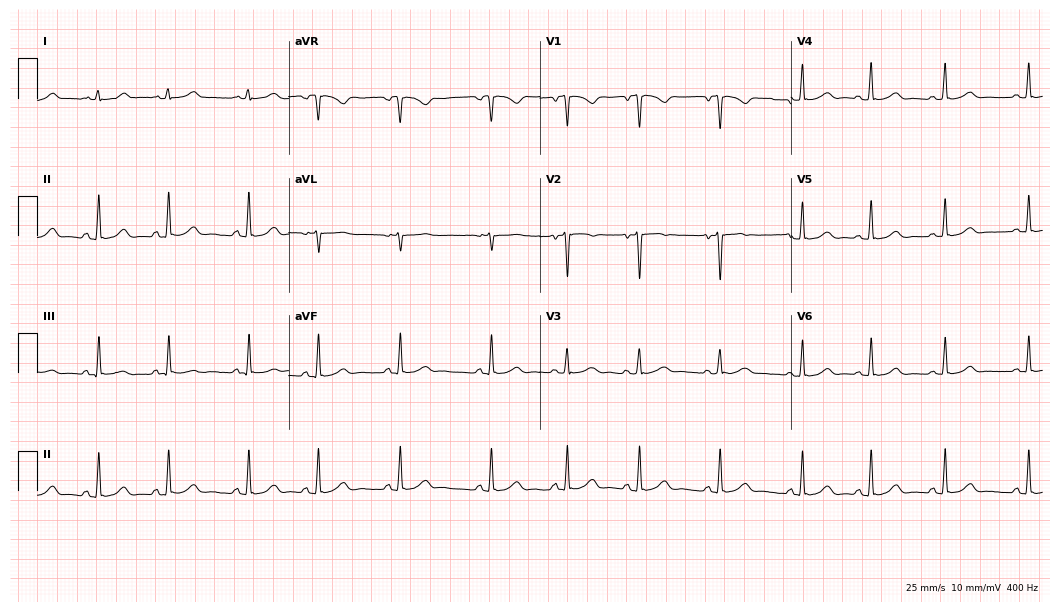
Electrocardiogram, a female patient, 18 years old. Of the six screened findings (first-degree AV block, right bundle branch block (RBBB), left bundle branch block (LBBB), sinus bradycardia, atrial fibrillation (AF), sinus tachycardia), none is recorded.